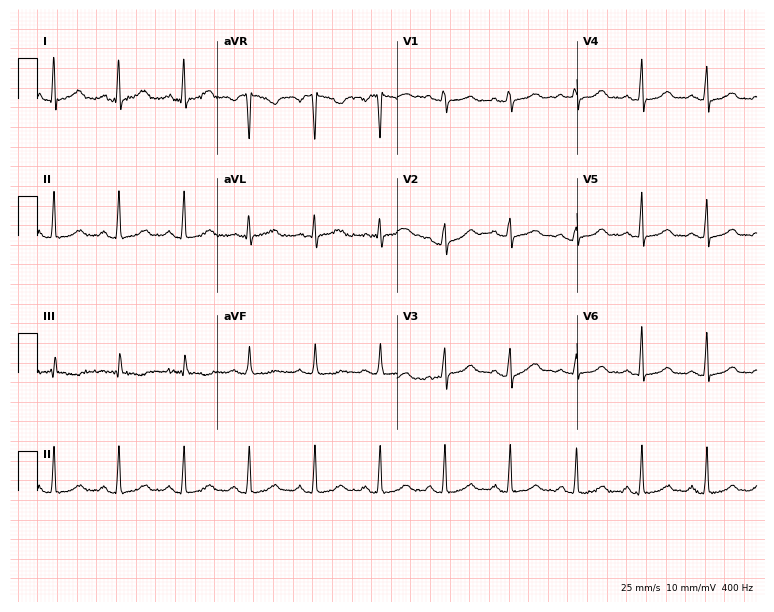
12-lead ECG from a 40-year-old female patient. Labelled as a normal ECG.